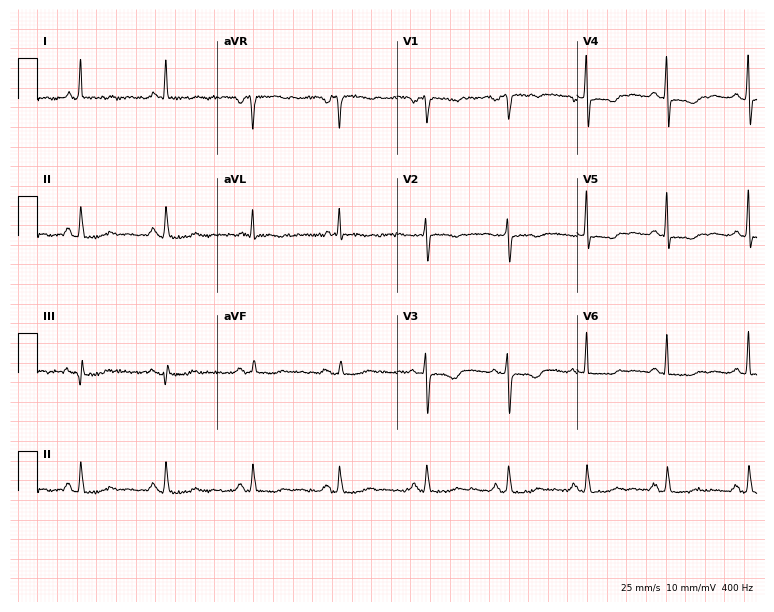
Electrocardiogram, a woman, 62 years old. Of the six screened findings (first-degree AV block, right bundle branch block (RBBB), left bundle branch block (LBBB), sinus bradycardia, atrial fibrillation (AF), sinus tachycardia), none is recorded.